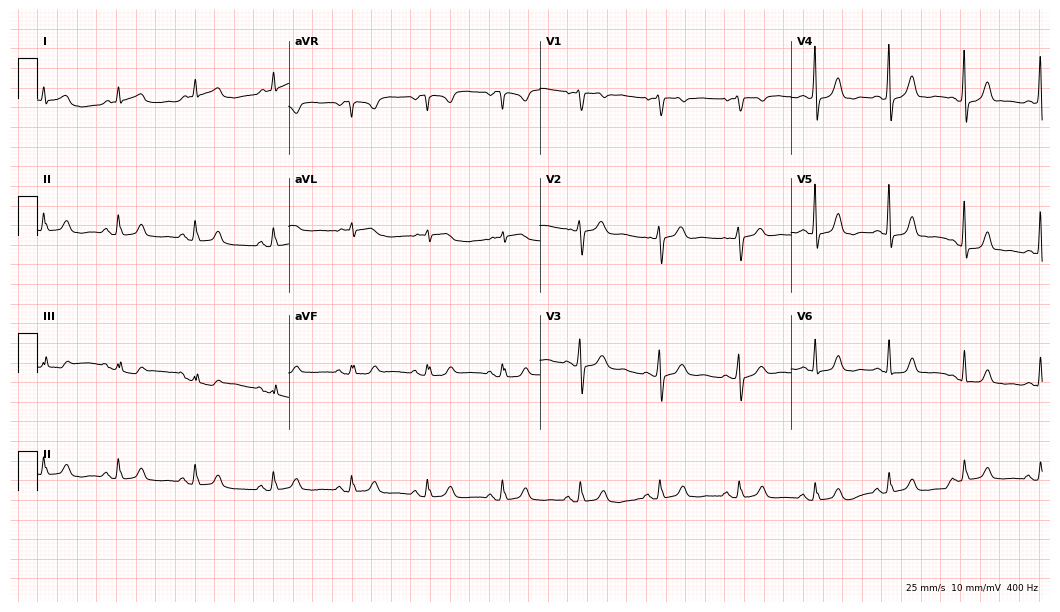
Standard 12-lead ECG recorded from a female patient, 47 years old. Read as a normal ECG.